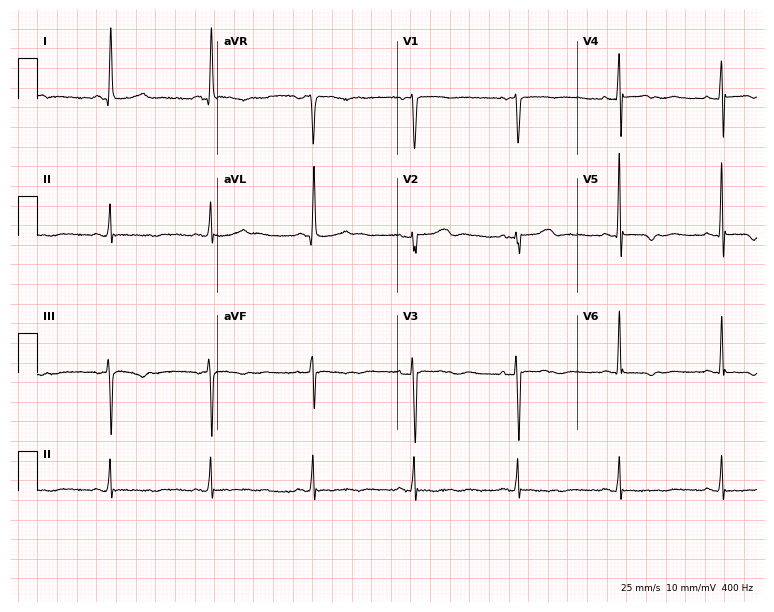
12-lead ECG from a 76-year-old female (7.3-second recording at 400 Hz). No first-degree AV block, right bundle branch block, left bundle branch block, sinus bradycardia, atrial fibrillation or sinus tachycardia recorded for this tracing.